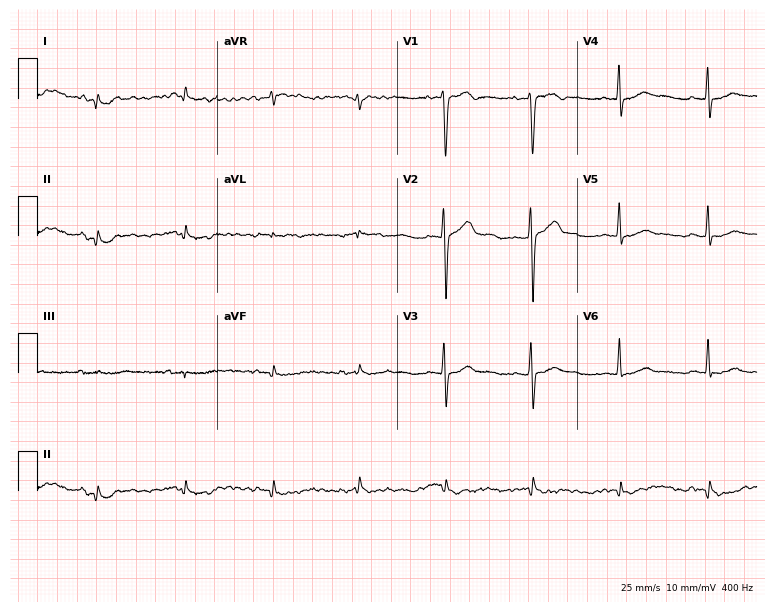
ECG — a 39-year-old man. Screened for six findings — first-degree AV block, right bundle branch block (RBBB), left bundle branch block (LBBB), sinus bradycardia, atrial fibrillation (AF), sinus tachycardia — none is recorded.